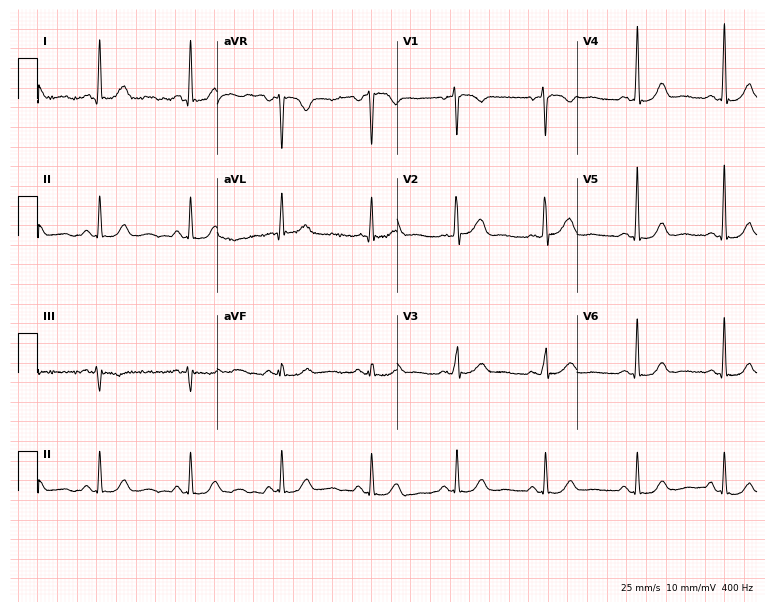
ECG — a female patient, 56 years old. Labelled as a normal ECG.